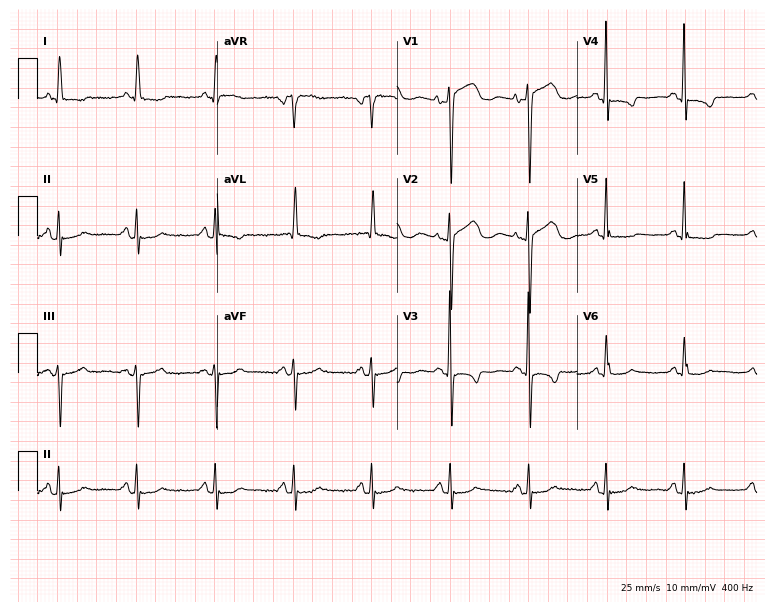
Resting 12-lead electrocardiogram. Patient: a 75-year-old female. None of these six findings is recorded: first-degree AV block, right bundle branch block, left bundle branch block, sinus bradycardia, atrial fibrillation, sinus tachycardia.